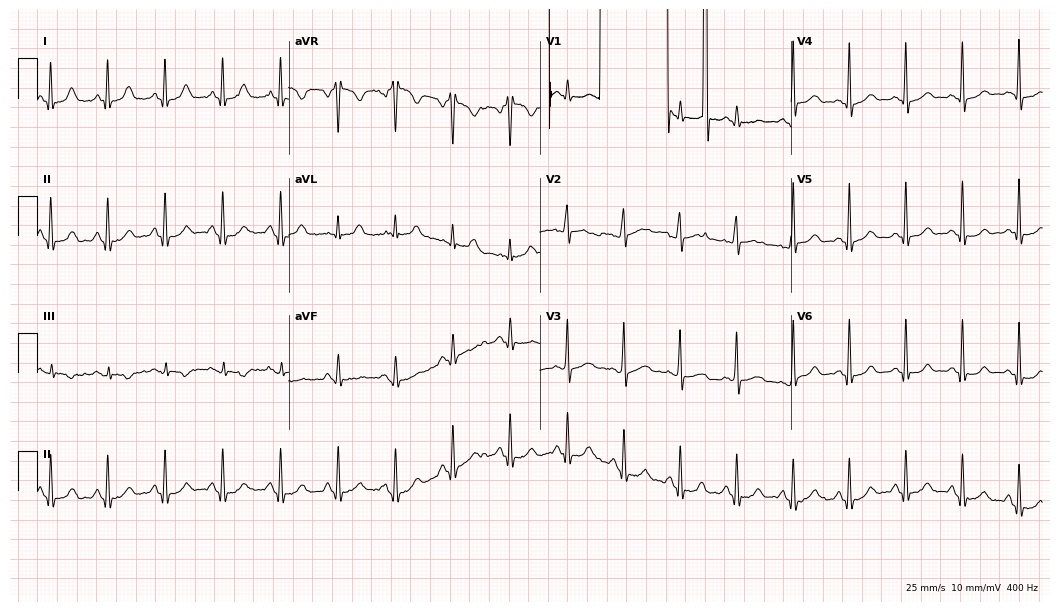
ECG — a 28-year-old woman. Screened for six findings — first-degree AV block, right bundle branch block (RBBB), left bundle branch block (LBBB), sinus bradycardia, atrial fibrillation (AF), sinus tachycardia — none is recorded.